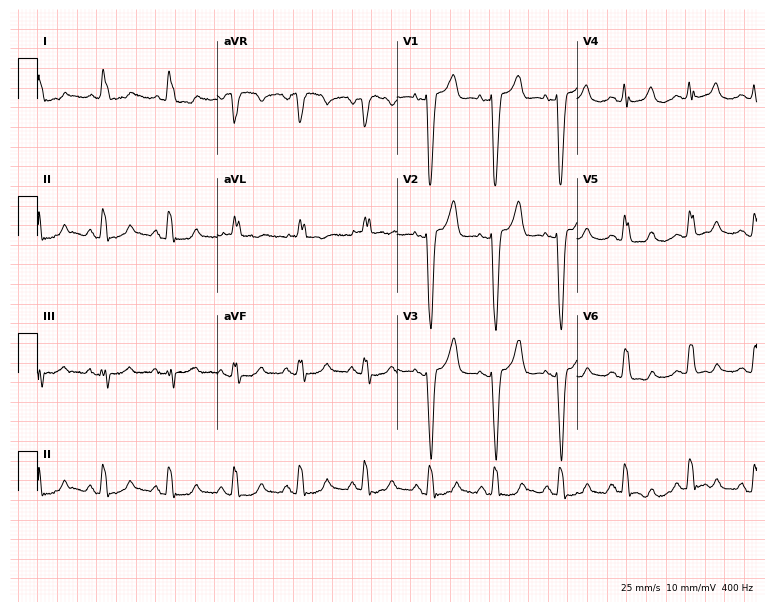
Standard 12-lead ECG recorded from a female patient, 85 years old (7.3-second recording at 400 Hz). None of these six findings is recorded: first-degree AV block, right bundle branch block (RBBB), left bundle branch block (LBBB), sinus bradycardia, atrial fibrillation (AF), sinus tachycardia.